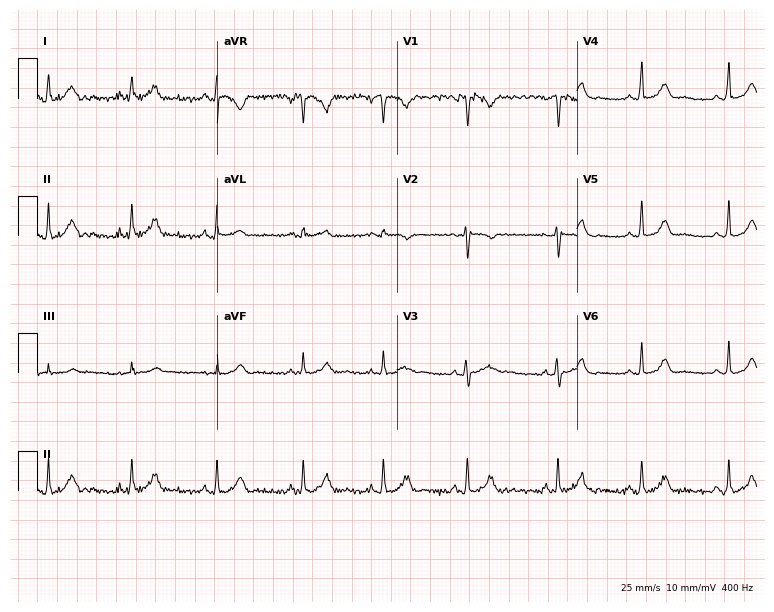
12-lead ECG from a 21-year-old female. Labelled as a normal ECG.